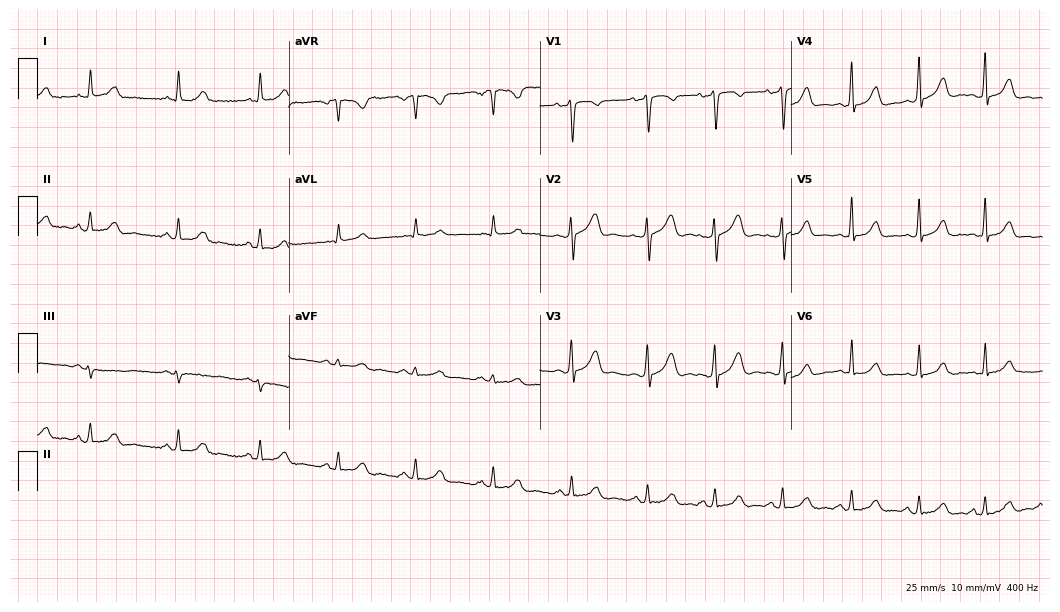
Standard 12-lead ECG recorded from a woman, 35 years old. Read as a normal ECG.